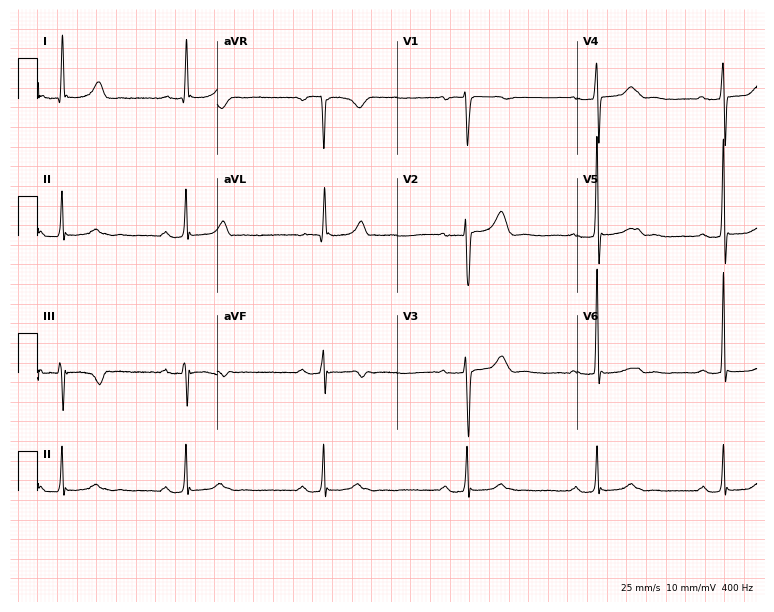
12-lead ECG from a female, 63 years old. Findings include first-degree AV block, sinus bradycardia (a sinus rate of 50 beats per minute or less).